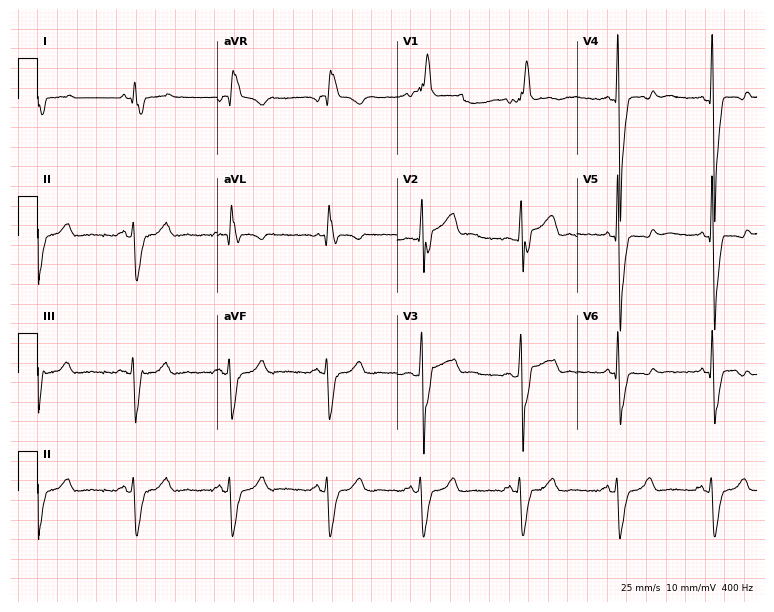
12-lead ECG (7.3-second recording at 400 Hz) from a 59-year-old man. Screened for six findings — first-degree AV block, right bundle branch block, left bundle branch block, sinus bradycardia, atrial fibrillation, sinus tachycardia — none is recorded.